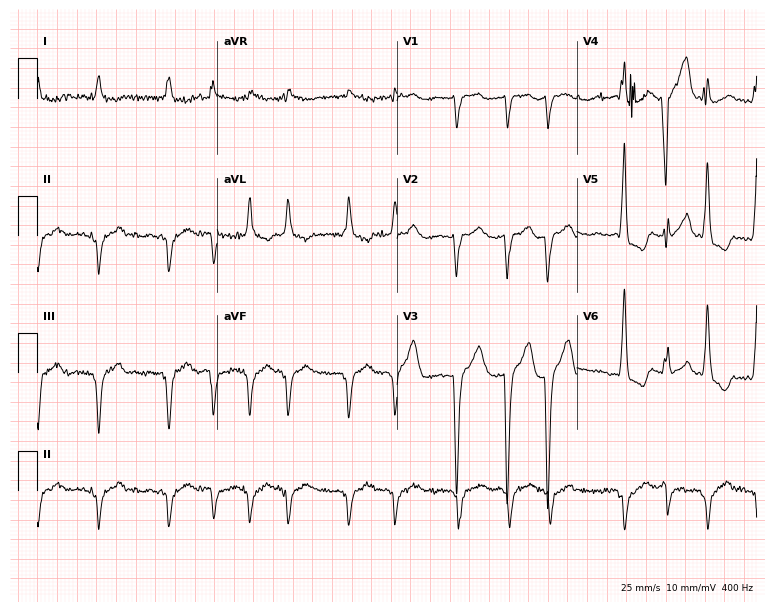
Standard 12-lead ECG recorded from a 70-year-old male patient. The tracing shows atrial fibrillation.